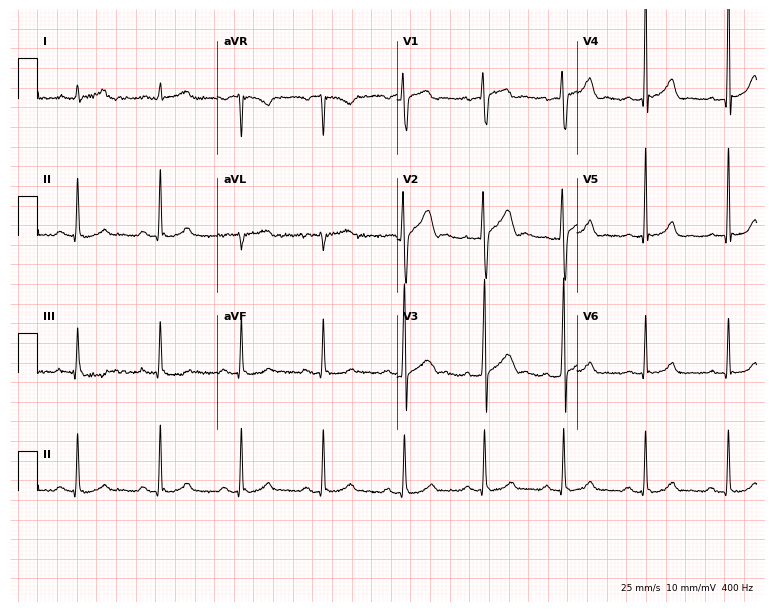
Standard 12-lead ECG recorded from a man, 30 years old. Read as a normal ECG.